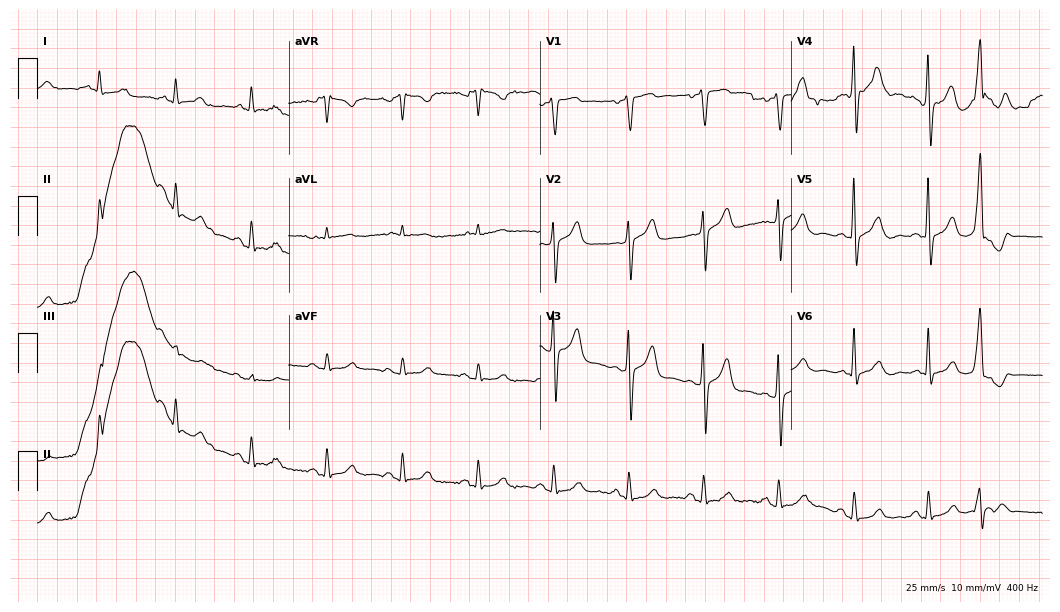
Standard 12-lead ECG recorded from a 79-year-old man. Read as a normal ECG.